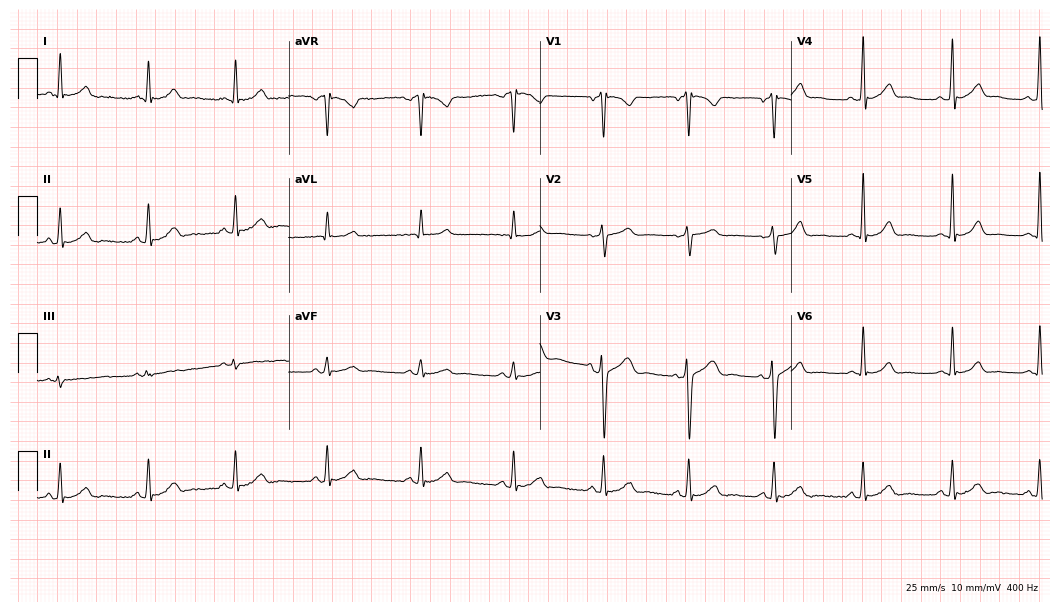
Electrocardiogram (10.2-second recording at 400 Hz), a man, 43 years old. Of the six screened findings (first-degree AV block, right bundle branch block (RBBB), left bundle branch block (LBBB), sinus bradycardia, atrial fibrillation (AF), sinus tachycardia), none is recorded.